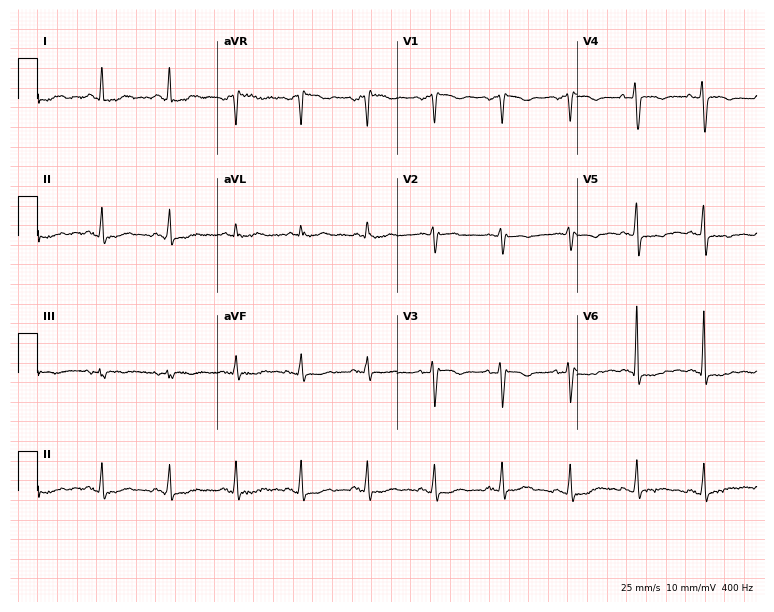
Electrocardiogram (7.3-second recording at 400 Hz), a 51-year-old female. Of the six screened findings (first-degree AV block, right bundle branch block (RBBB), left bundle branch block (LBBB), sinus bradycardia, atrial fibrillation (AF), sinus tachycardia), none is recorded.